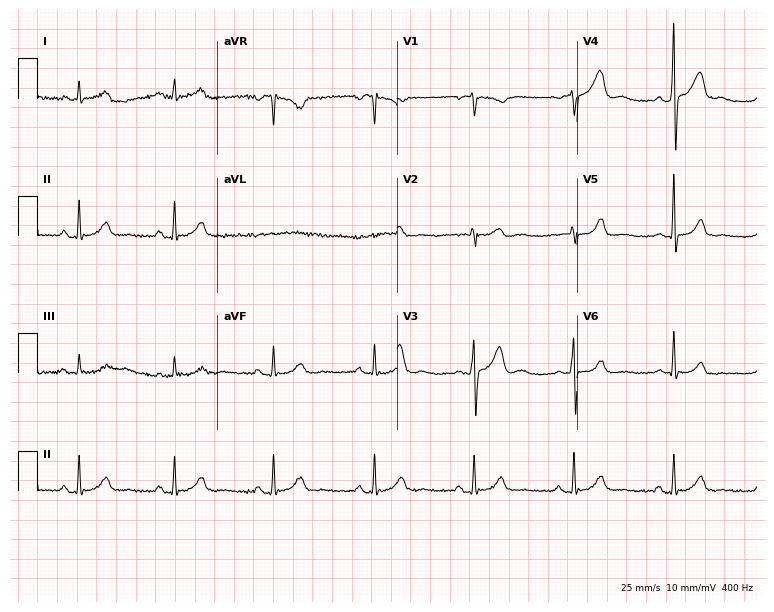
12-lead ECG from a male, 39 years old. No first-degree AV block, right bundle branch block (RBBB), left bundle branch block (LBBB), sinus bradycardia, atrial fibrillation (AF) or sinus tachycardia recorded for this tracing. Findings outside these six are not listed.